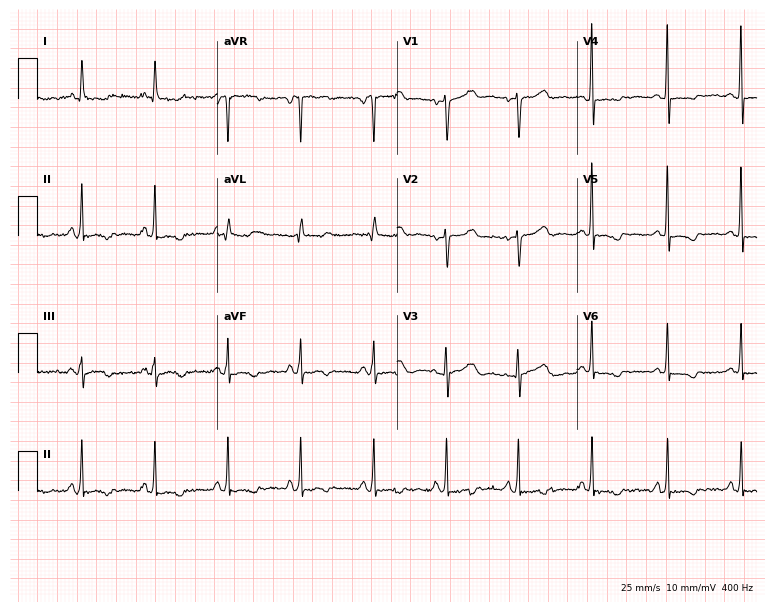
12-lead ECG from a 50-year-old female patient (7.3-second recording at 400 Hz). Recorded interpretation: within normal limits.